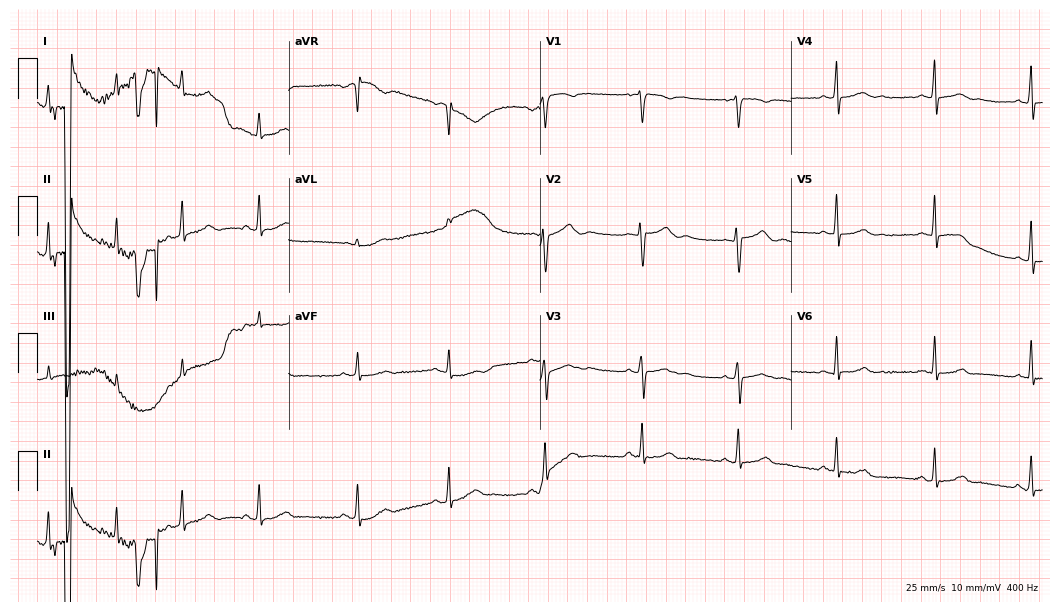
12-lead ECG from a female, 18 years old. Recorded interpretation: within normal limits.